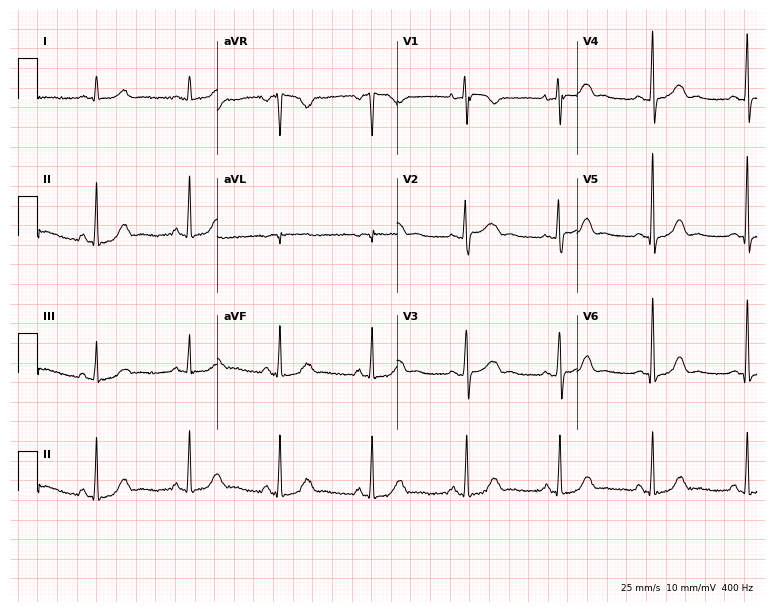
ECG (7.3-second recording at 400 Hz) — a 64-year-old female patient. Screened for six findings — first-degree AV block, right bundle branch block (RBBB), left bundle branch block (LBBB), sinus bradycardia, atrial fibrillation (AF), sinus tachycardia — none is recorded.